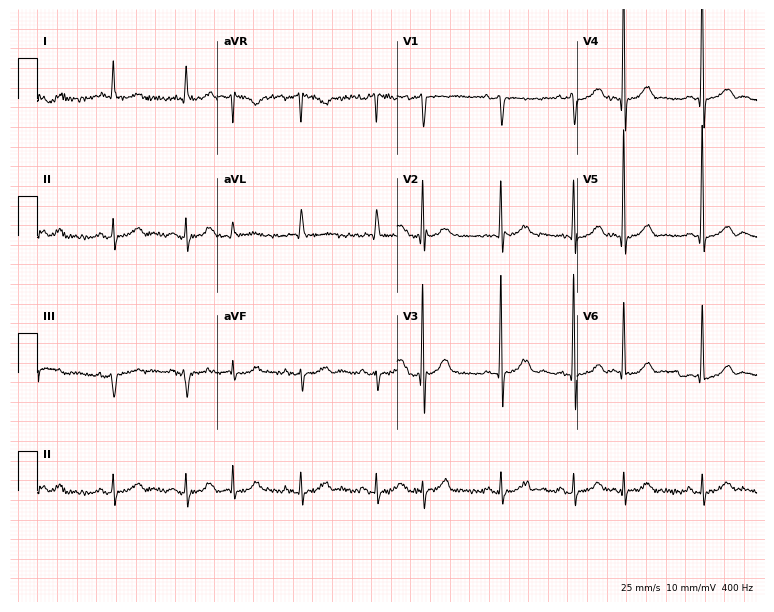
12-lead ECG from an 84-year-old man. Screened for six findings — first-degree AV block, right bundle branch block (RBBB), left bundle branch block (LBBB), sinus bradycardia, atrial fibrillation (AF), sinus tachycardia — none is recorded.